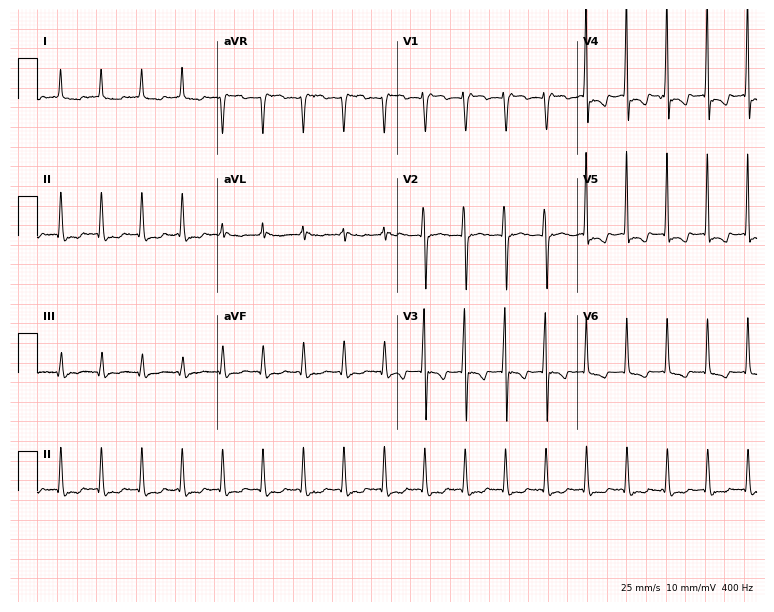
ECG — a 78-year-old woman. Findings include sinus tachycardia (a sinus rate of 100 beats per minute or more).